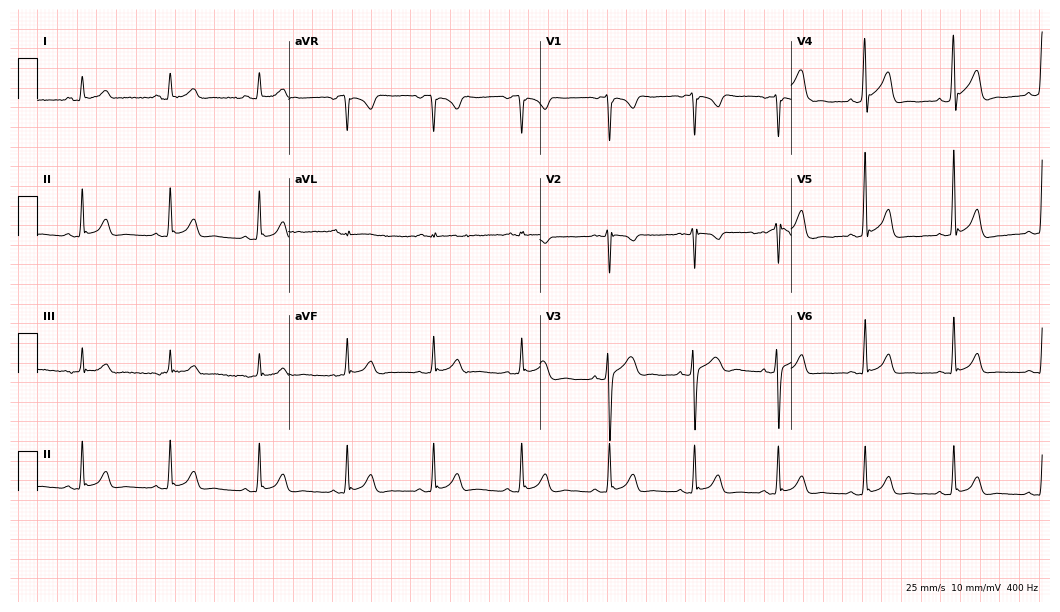
12-lead ECG (10.2-second recording at 400 Hz) from a male patient, 32 years old. Screened for six findings — first-degree AV block, right bundle branch block (RBBB), left bundle branch block (LBBB), sinus bradycardia, atrial fibrillation (AF), sinus tachycardia — none is recorded.